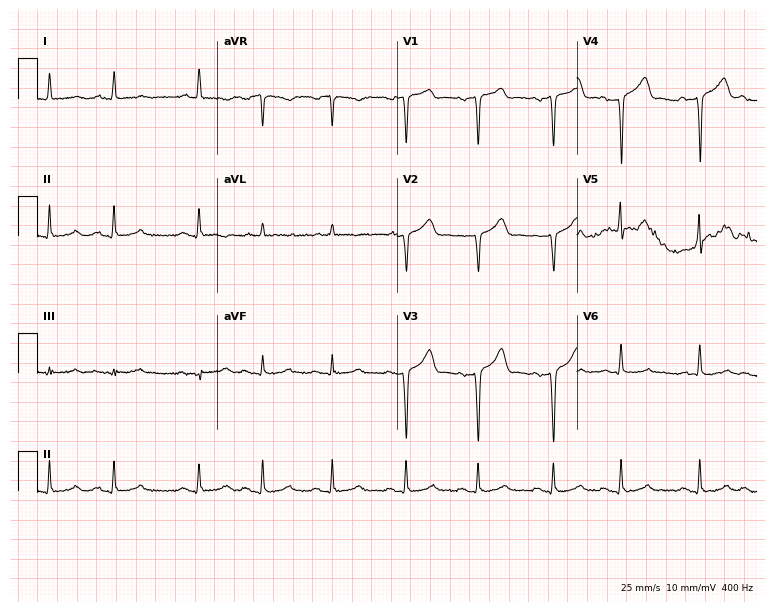
Standard 12-lead ECG recorded from a male patient, 56 years old. None of these six findings is recorded: first-degree AV block, right bundle branch block (RBBB), left bundle branch block (LBBB), sinus bradycardia, atrial fibrillation (AF), sinus tachycardia.